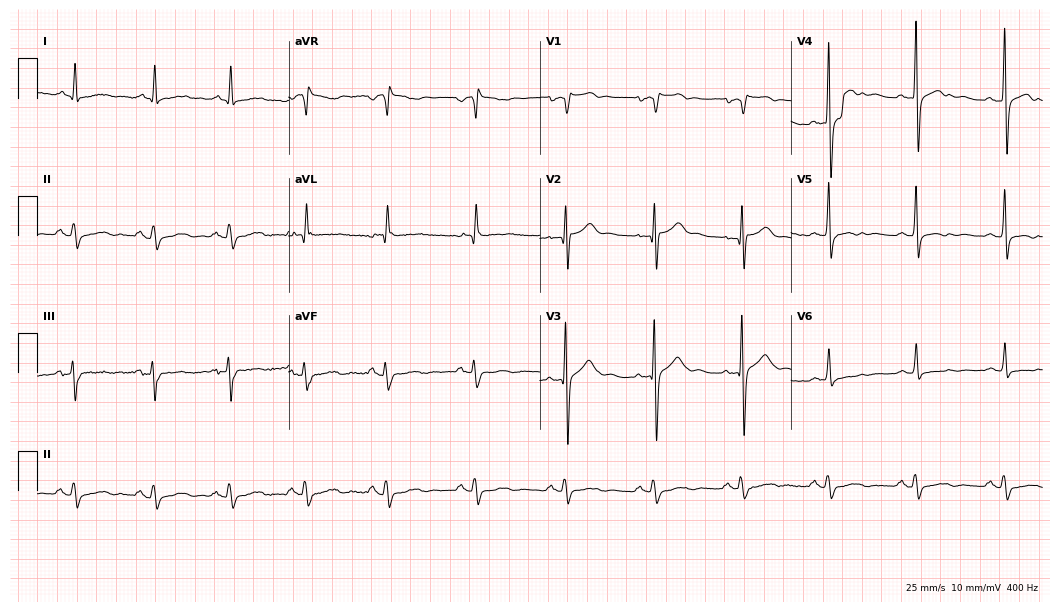
ECG (10.2-second recording at 400 Hz) — a 52-year-old male. Screened for six findings — first-degree AV block, right bundle branch block, left bundle branch block, sinus bradycardia, atrial fibrillation, sinus tachycardia — none is recorded. Only these six findings were labelled.